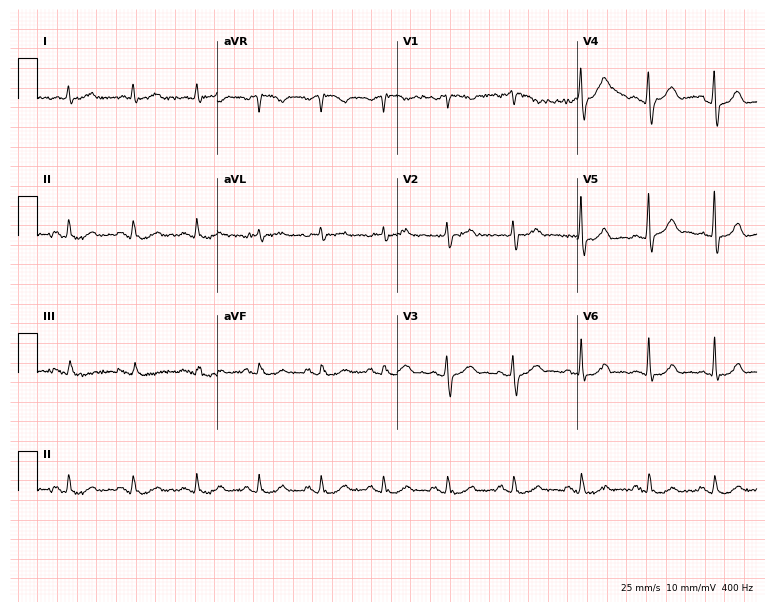
Standard 12-lead ECG recorded from a man, 65 years old (7.3-second recording at 400 Hz). Read as a normal ECG.